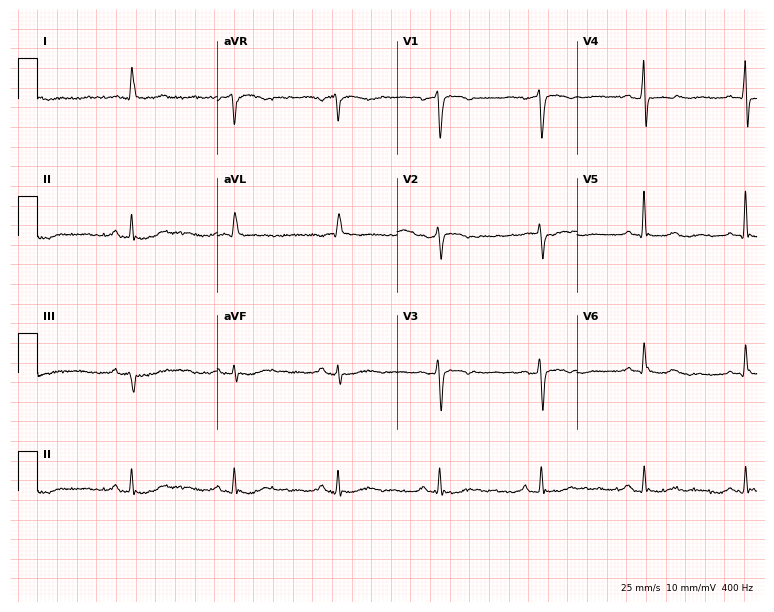
Standard 12-lead ECG recorded from a 79-year-old female patient. Read as a normal ECG.